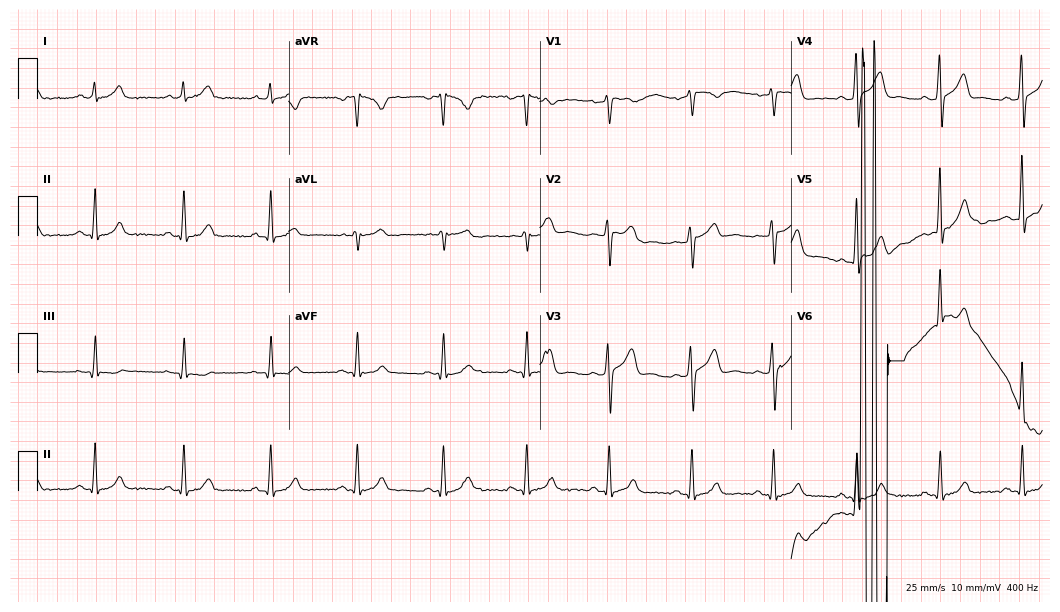
12-lead ECG from a male, 41 years old (10.2-second recording at 400 Hz). No first-degree AV block, right bundle branch block, left bundle branch block, sinus bradycardia, atrial fibrillation or sinus tachycardia recorded for this tracing.